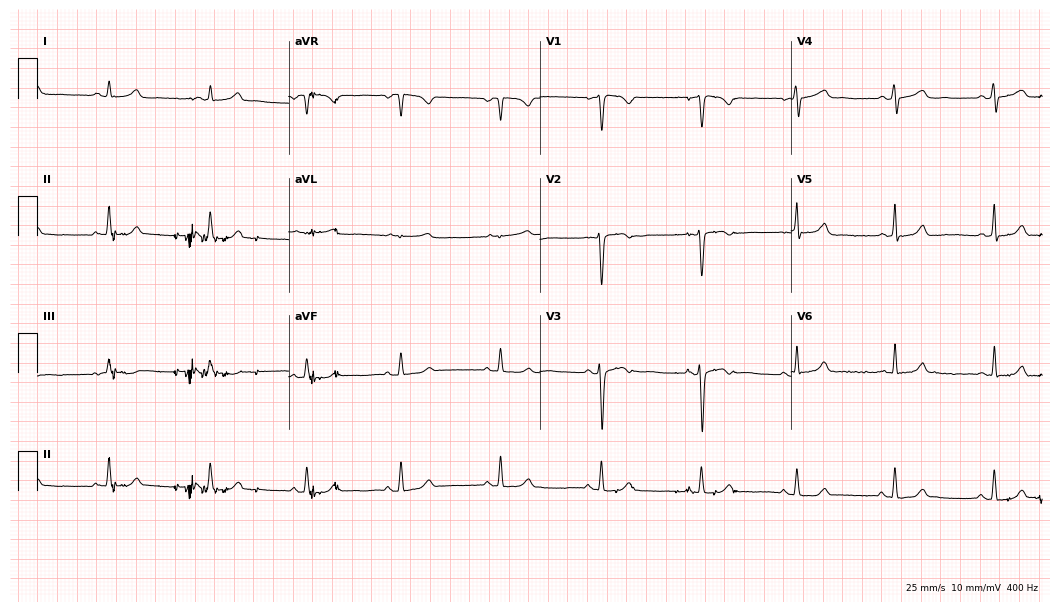
Standard 12-lead ECG recorded from a 36-year-old female. None of these six findings is recorded: first-degree AV block, right bundle branch block, left bundle branch block, sinus bradycardia, atrial fibrillation, sinus tachycardia. Only these six findings were labelled.